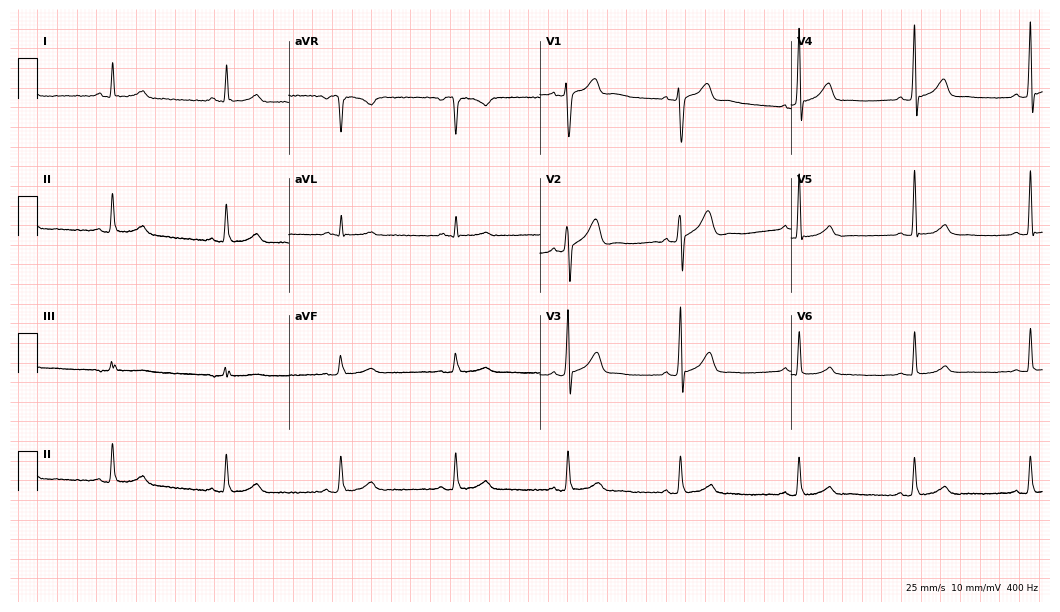
Resting 12-lead electrocardiogram. Patient: a male, 73 years old. Read as a normal ECG.